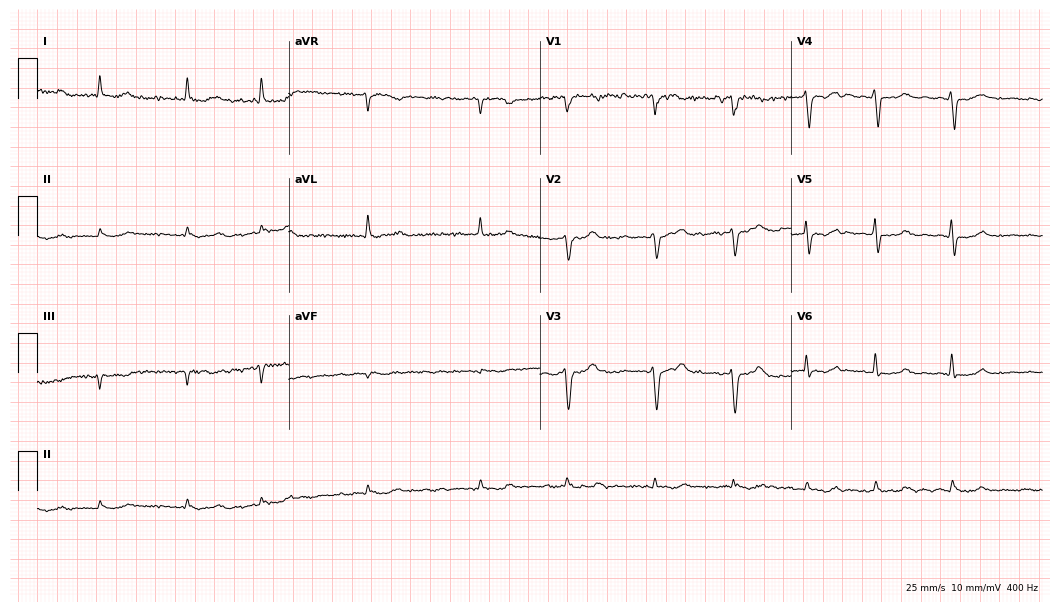
ECG — an 81-year-old man. Screened for six findings — first-degree AV block, right bundle branch block (RBBB), left bundle branch block (LBBB), sinus bradycardia, atrial fibrillation (AF), sinus tachycardia — none is recorded. Only these six findings were labelled.